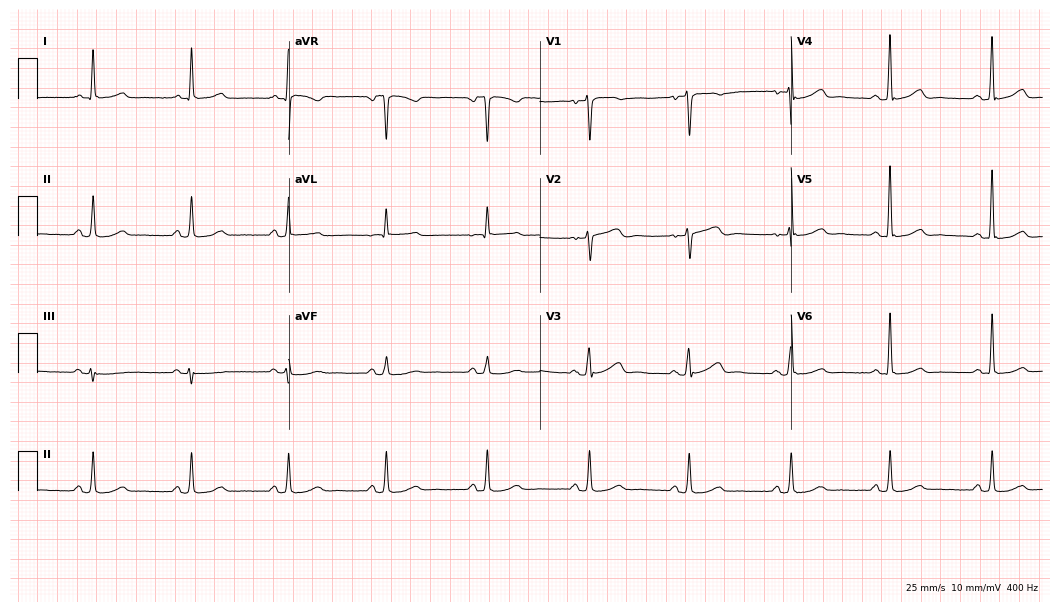
Standard 12-lead ECG recorded from a 62-year-old woman. Read as a normal ECG.